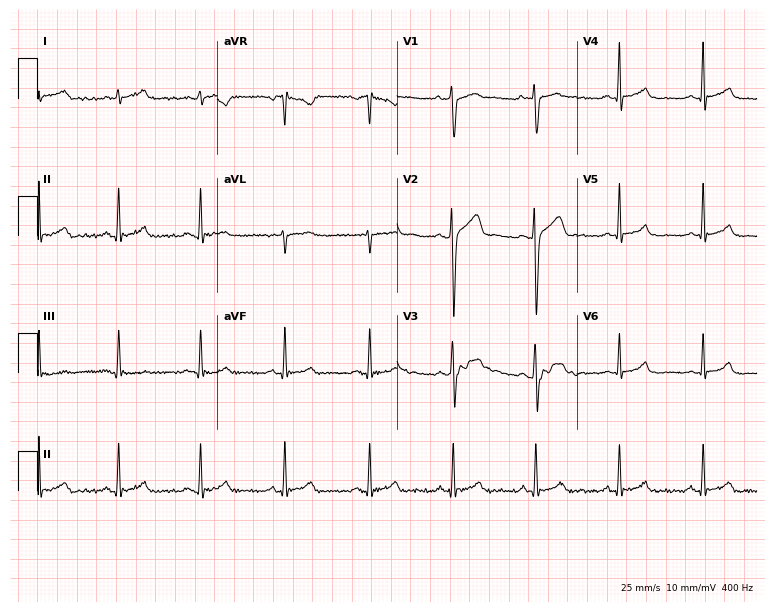
ECG — a man, 24 years old. Labelled as a normal ECG.